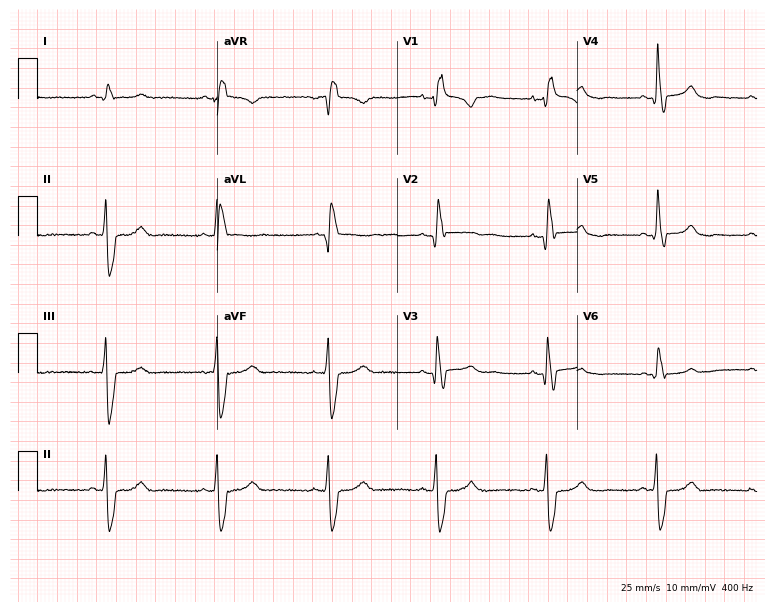
Standard 12-lead ECG recorded from a male, 53 years old (7.3-second recording at 400 Hz). The tracing shows right bundle branch block (RBBB).